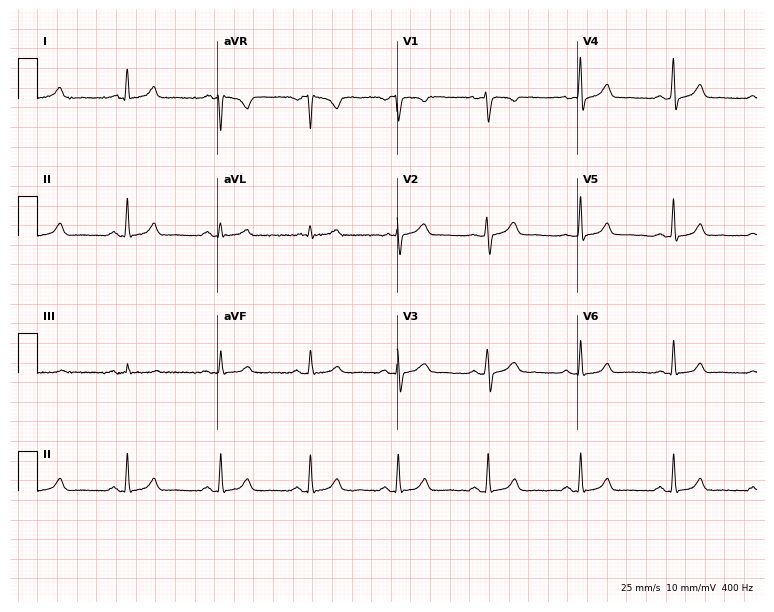
ECG (7.3-second recording at 400 Hz) — a female patient, 41 years old. Labelled as a normal ECG.